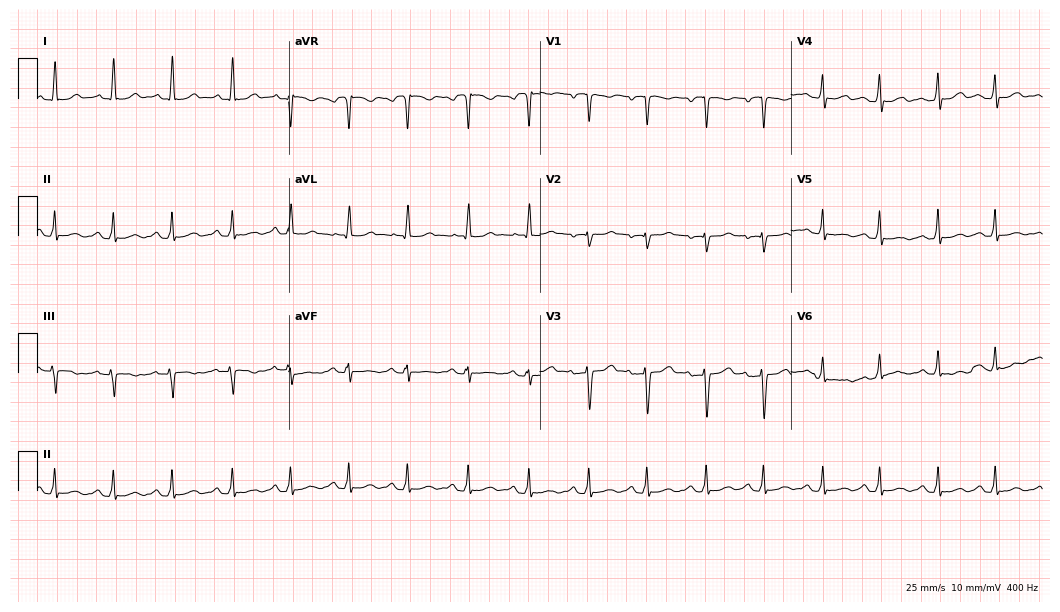
Electrocardiogram, a female patient, 37 years old. Interpretation includes sinus tachycardia (a sinus rate of 100 beats per minute or more).